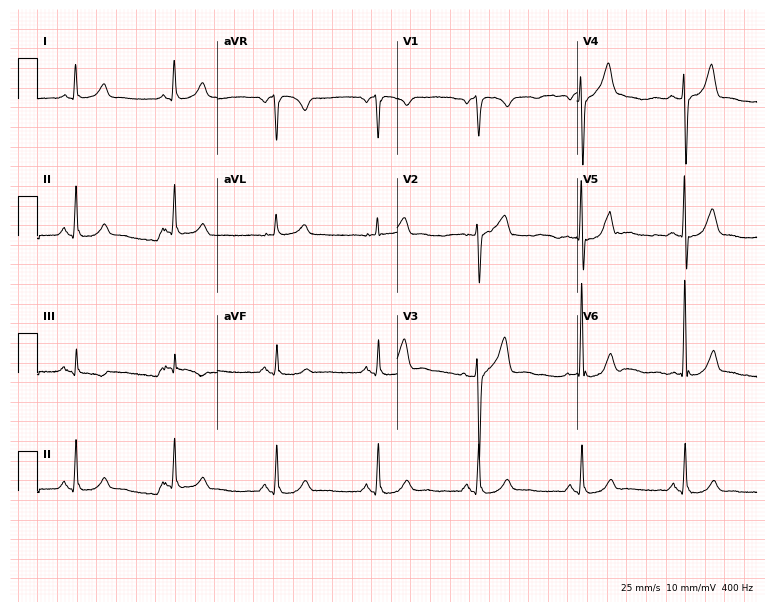
Resting 12-lead electrocardiogram (7.3-second recording at 400 Hz). Patient: a male, 60 years old. Read as a normal ECG.